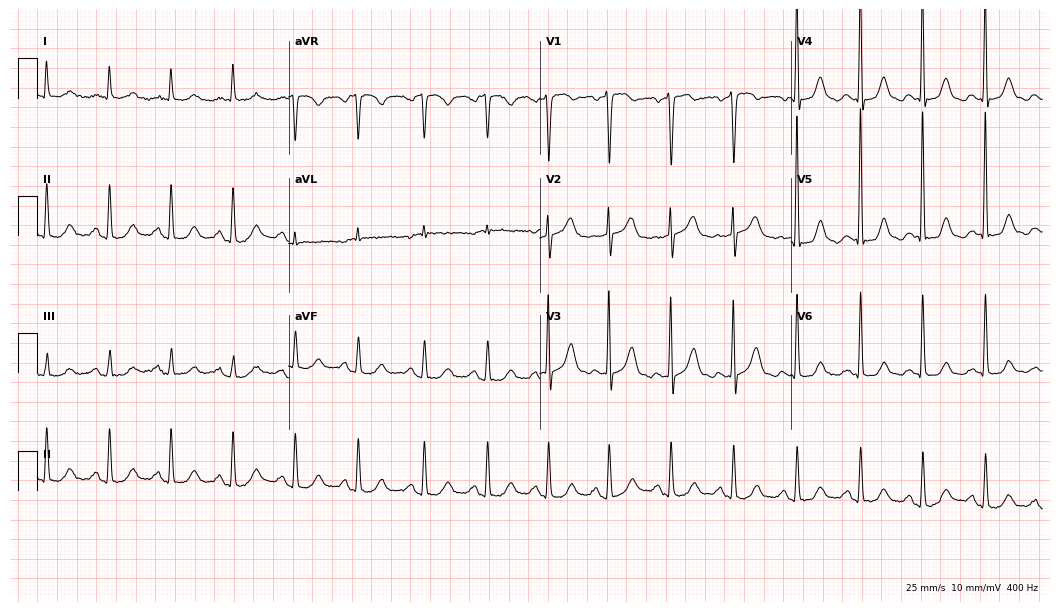
12-lead ECG (10.2-second recording at 400 Hz) from a female, 84 years old. Labelled as a normal ECG.